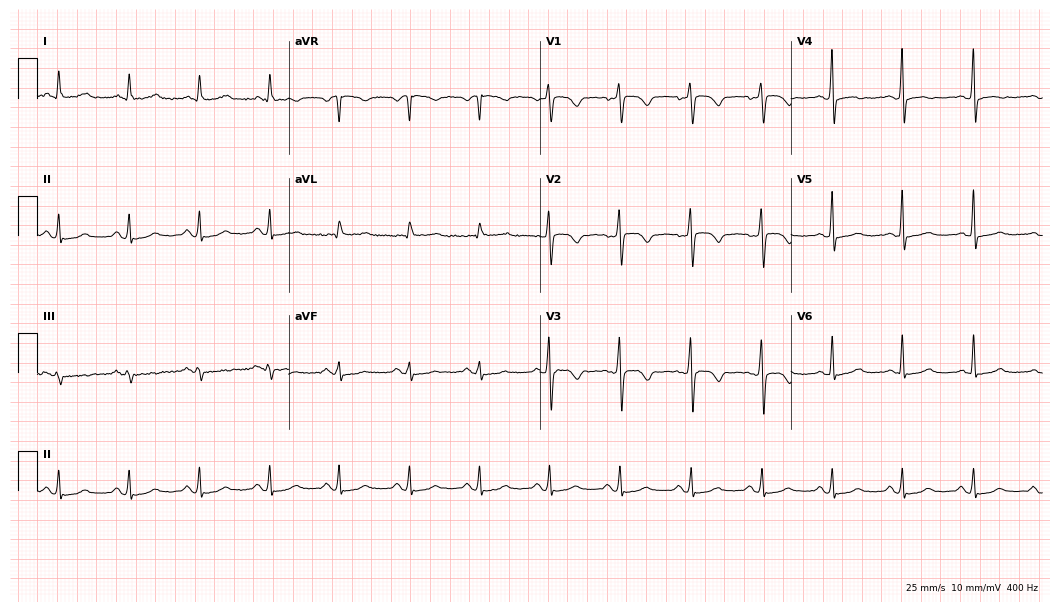
12-lead ECG from a female patient, 54 years old (10.2-second recording at 400 Hz). No first-degree AV block, right bundle branch block (RBBB), left bundle branch block (LBBB), sinus bradycardia, atrial fibrillation (AF) or sinus tachycardia recorded for this tracing. Other findings, if any, are not listed.